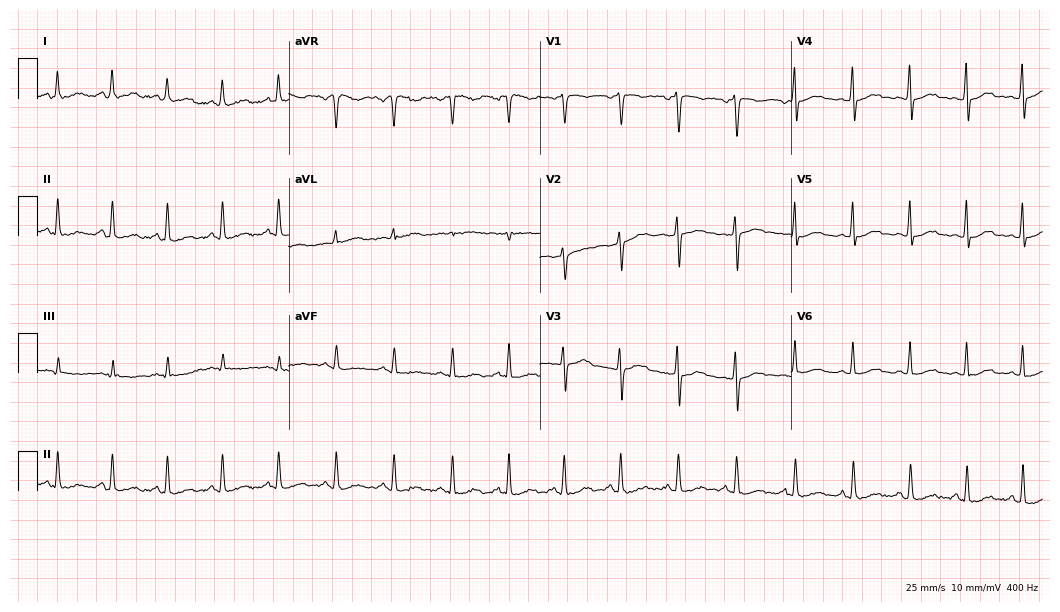
ECG (10.2-second recording at 400 Hz) — a 36-year-old woman. Findings include sinus tachycardia (a sinus rate of 100 beats per minute or more).